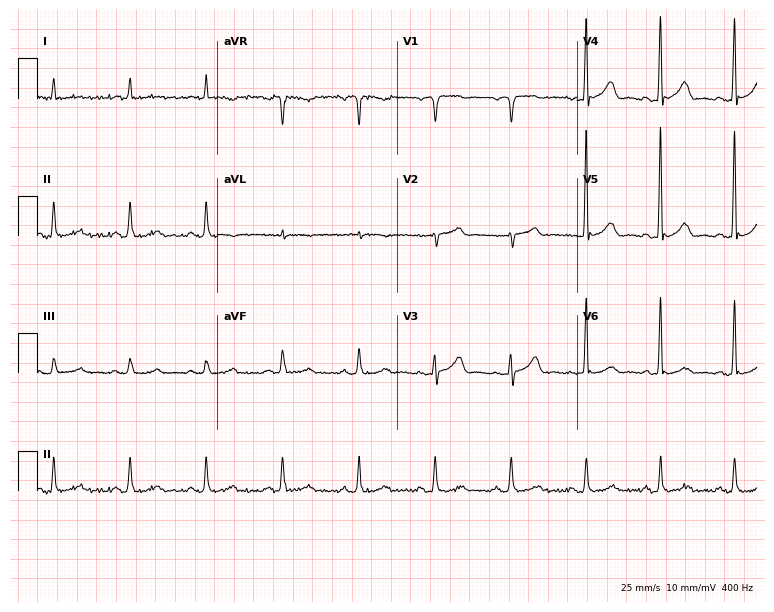
12-lead ECG from a male patient, 74 years old (7.3-second recording at 400 Hz). No first-degree AV block, right bundle branch block (RBBB), left bundle branch block (LBBB), sinus bradycardia, atrial fibrillation (AF) or sinus tachycardia recorded for this tracing. Only these six findings were labelled.